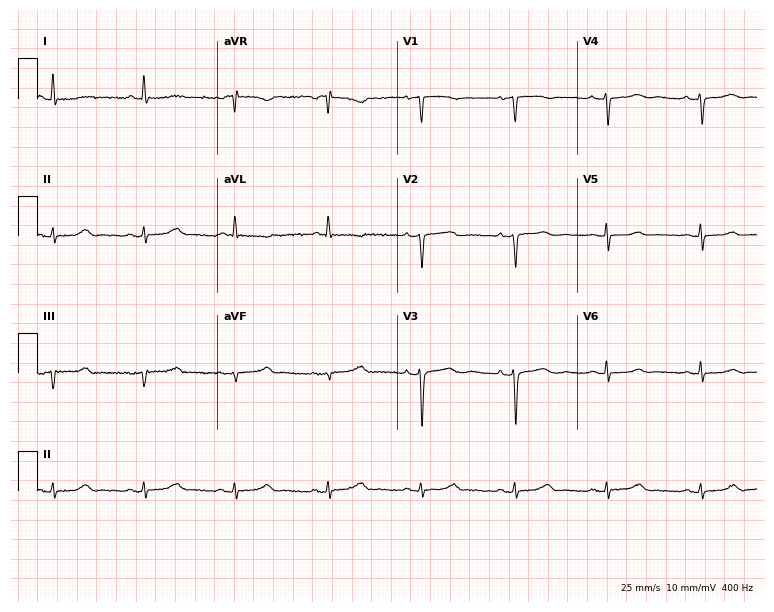
12-lead ECG from a 76-year-old female patient (7.3-second recording at 400 Hz). No first-degree AV block, right bundle branch block (RBBB), left bundle branch block (LBBB), sinus bradycardia, atrial fibrillation (AF) or sinus tachycardia recorded for this tracing. Other findings, if any, are not listed.